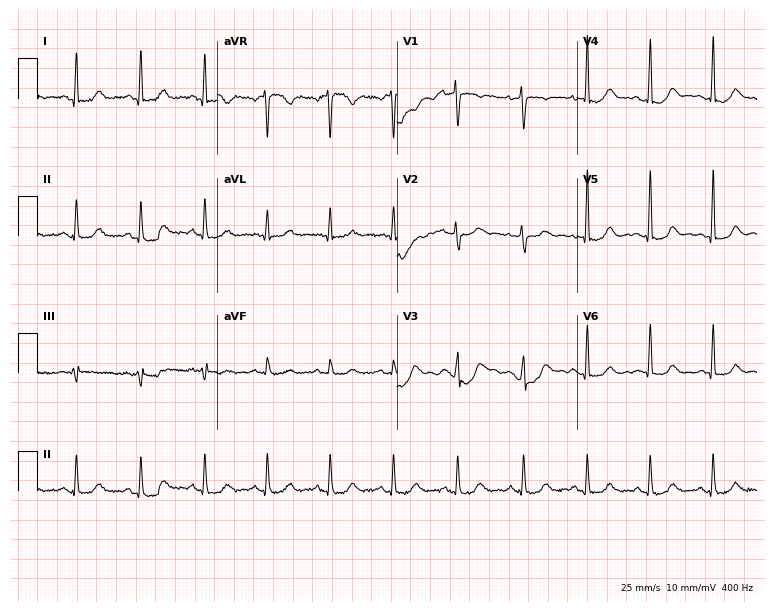
12-lead ECG (7.3-second recording at 400 Hz) from a 42-year-old woman. Screened for six findings — first-degree AV block, right bundle branch block, left bundle branch block, sinus bradycardia, atrial fibrillation, sinus tachycardia — none is recorded. Findings outside these six are not listed.